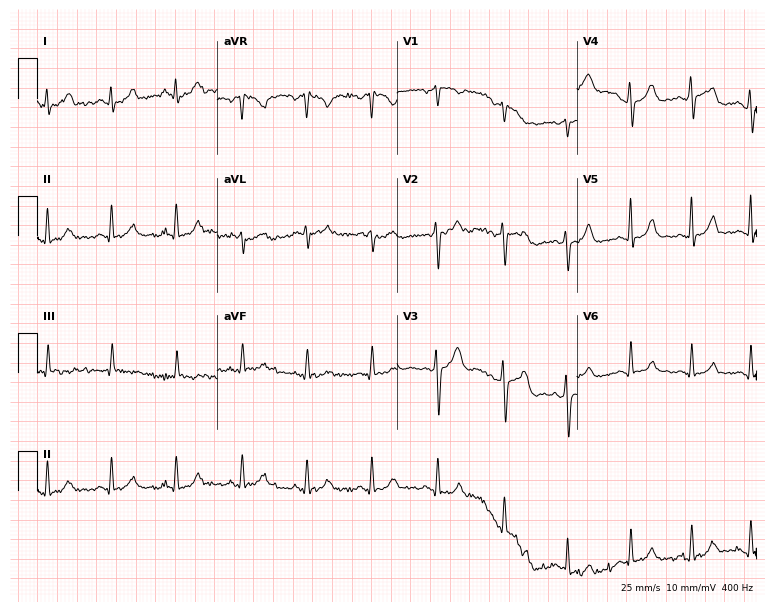
12-lead ECG (7.3-second recording at 400 Hz) from a woman, 23 years old. Screened for six findings — first-degree AV block, right bundle branch block, left bundle branch block, sinus bradycardia, atrial fibrillation, sinus tachycardia — none is recorded. Only these six findings were labelled.